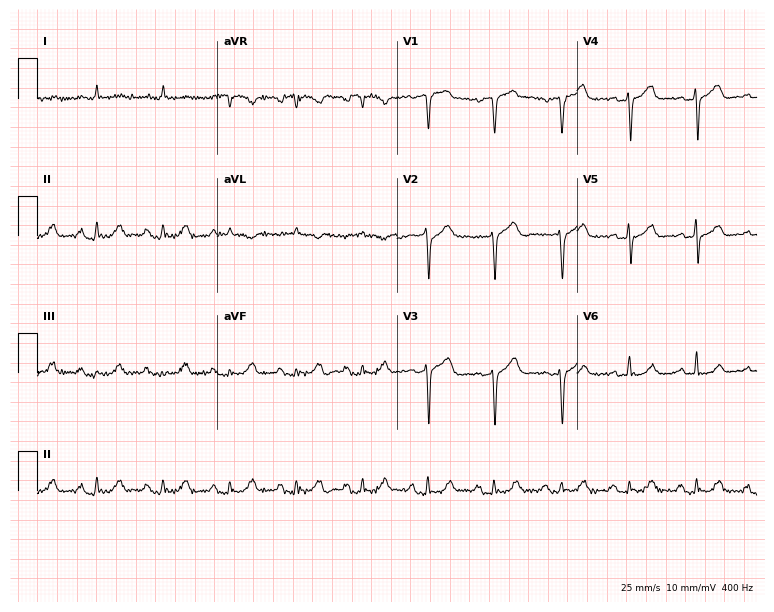
12-lead ECG (7.3-second recording at 400 Hz) from an 82-year-old man. Screened for six findings — first-degree AV block, right bundle branch block, left bundle branch block, sinus bradycardia, atrial fibrillation, sinus tachycardia — none is recorded. Other findings, if any, are not listed.